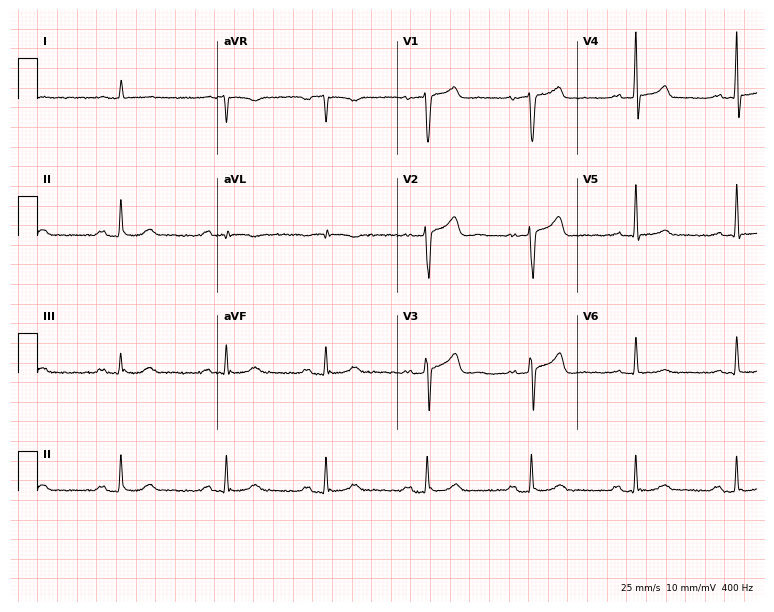
Electrocardiogram (7.3-second recording at 400 Hz), a 72-year-old male. Of the six screened findings (first-degree AV block, right bundle branch block, left bundle branch block, sinus bradycardia, atrial fibrillation, sinus tachycardia), none is recorded.